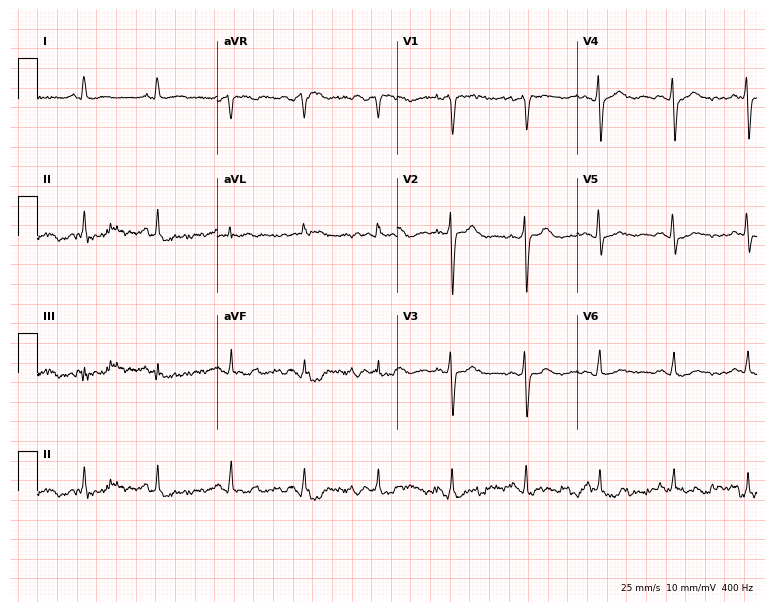
12-lead ECG from a 62-year-old man (7.3-second recording at 400 Hz). Recorded interpretation: within normal limits.